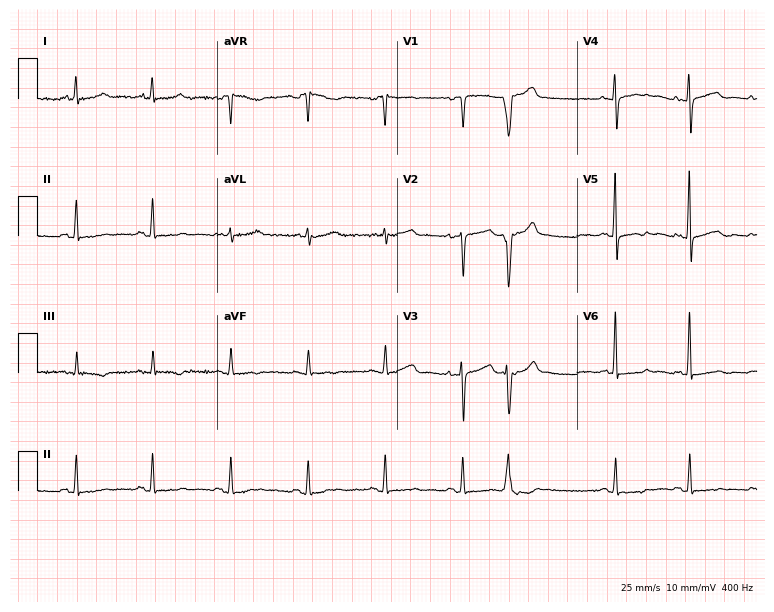
12-lead ECG from a female, 79 years old. No first-degree AV block, right bundle branch block, left bundle branch block, sinus bradycardia, atrial fibrillation or sinus tachycardia recorded for this tracing. Only these six findings were labelled.